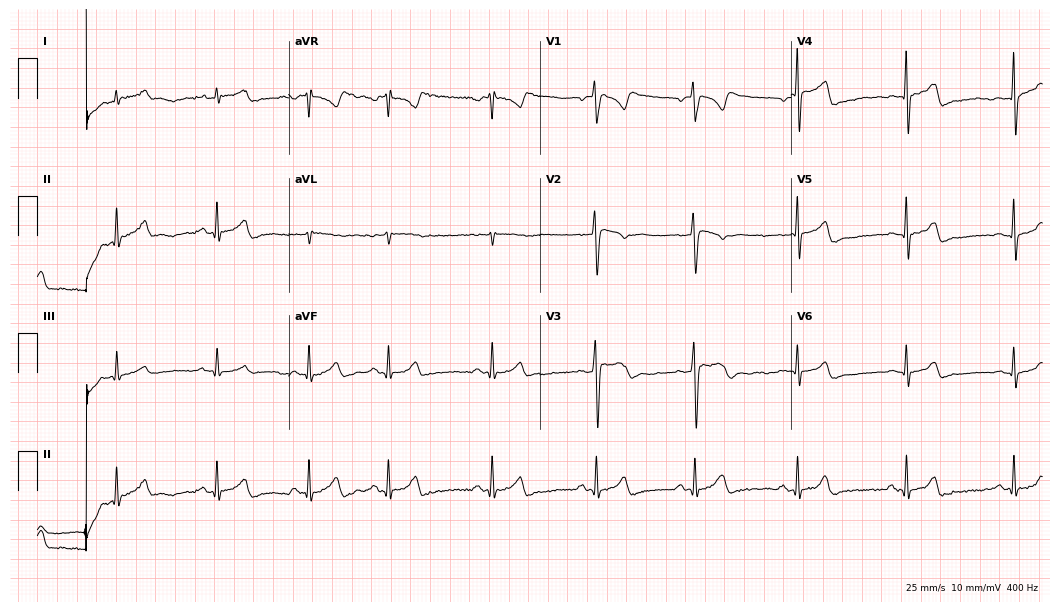
ECG — an 18-year-old male patient. Screened for six findings — first-degree AV block, right bundle branch block, left bundle branch block, sinus bradycardia, atrial fibrillation, sinus tachycardia — none is recorded. Other findings, if any, are not listed.